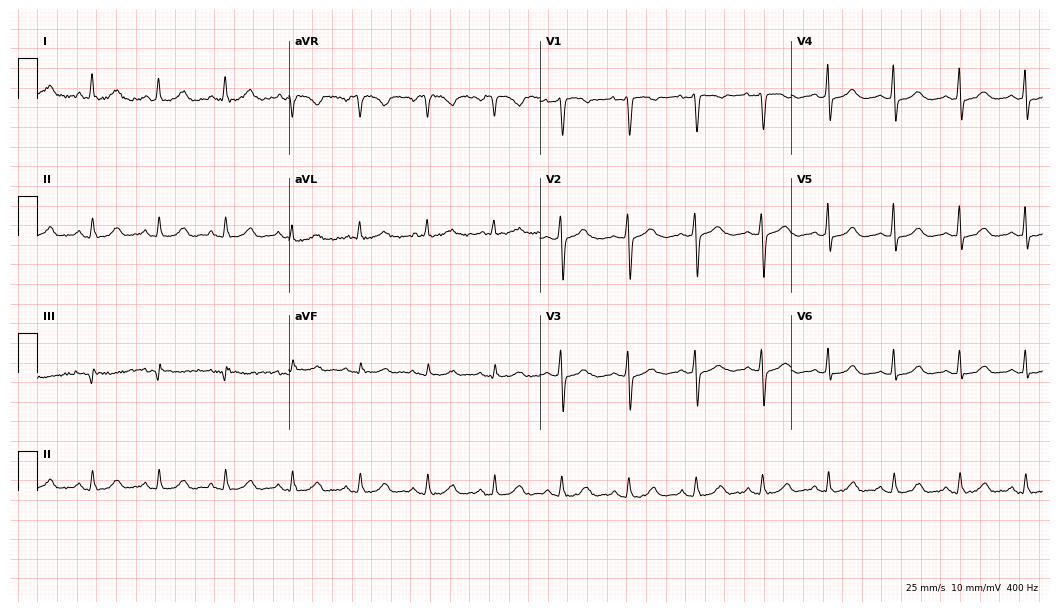
12-lead ECG from a female patient, 61 years old. No first-degree AV block, right bundle branch block, left bundle branch block, sinus bradycardia, atrial fibrillation or sinus tachycardia recorded for this tracing.